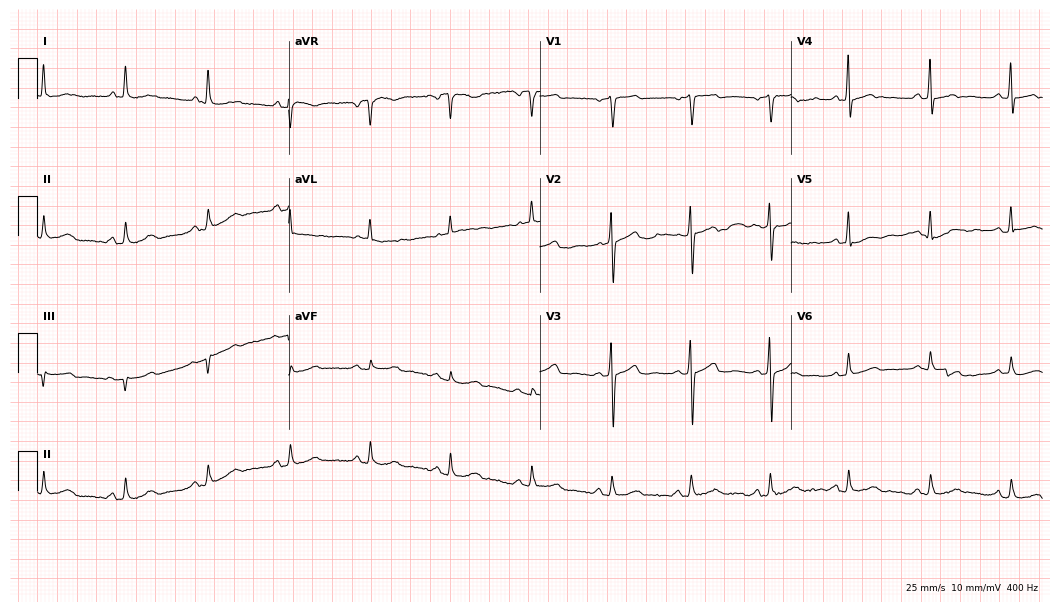
12-lead ECG (10.2-second recording at 400 Hz) from a 74-year-old man. Labelled as a normal ECG.